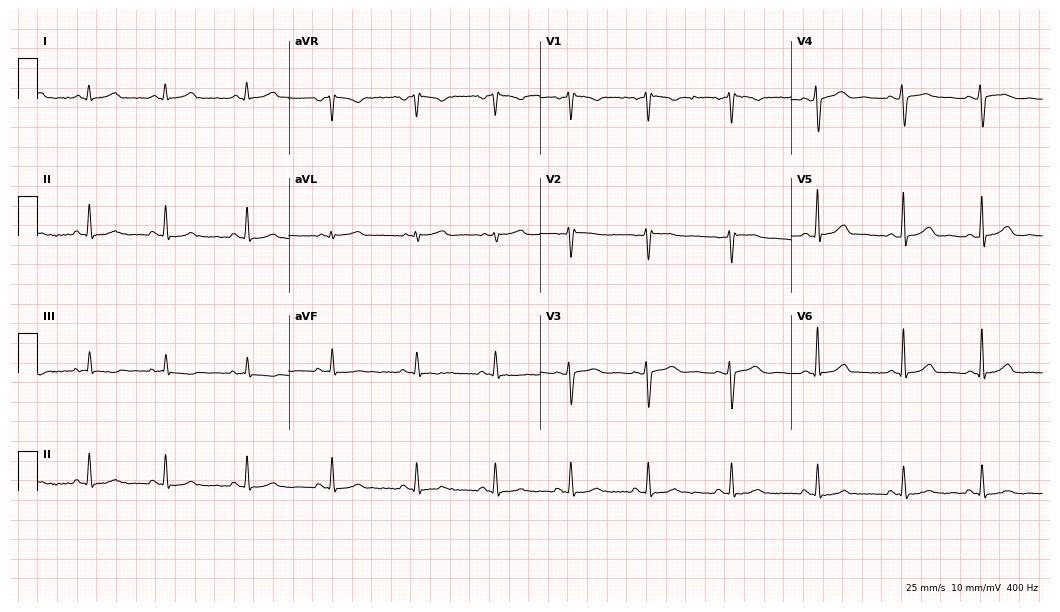
ECG — a female patient, 47 years old. Screened for six findings — first-degree AV block, right bundle branch block, left bundle branch block, sinus bradycardia, atrial fibrillation, sinus tachycardia — none is recorded.